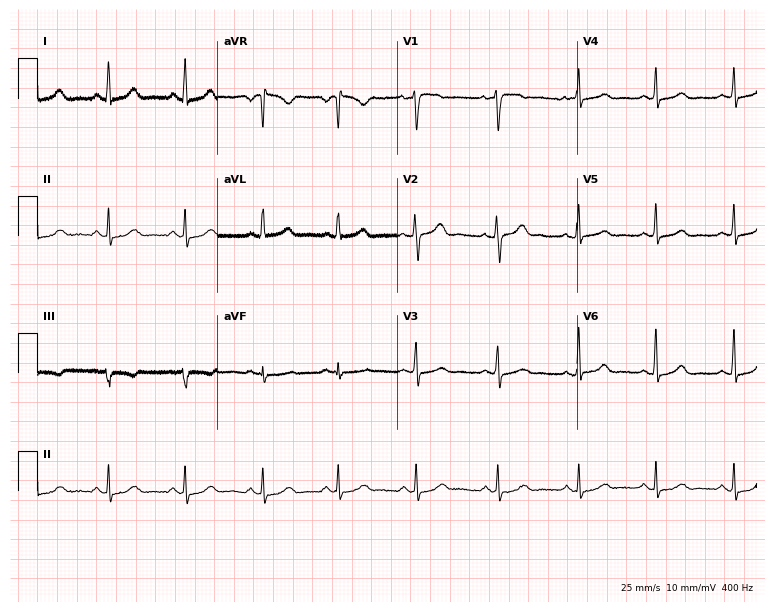
12-lead ECG from a 61-year-old female patient. No first-degree AV block, right bundle branch block, left bundle branch block, sinus bradycardia, atrial fibrillation or sinus tachycardia recorded for this tracing. Findings outside these six are not listed.